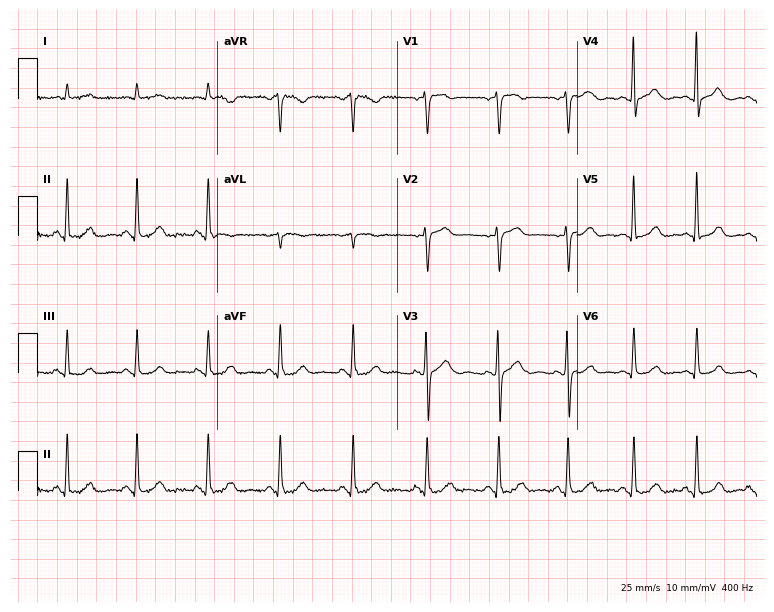
Standard 12-lead ECG recorded from a 58-year-old female. Read as a normal ECG.